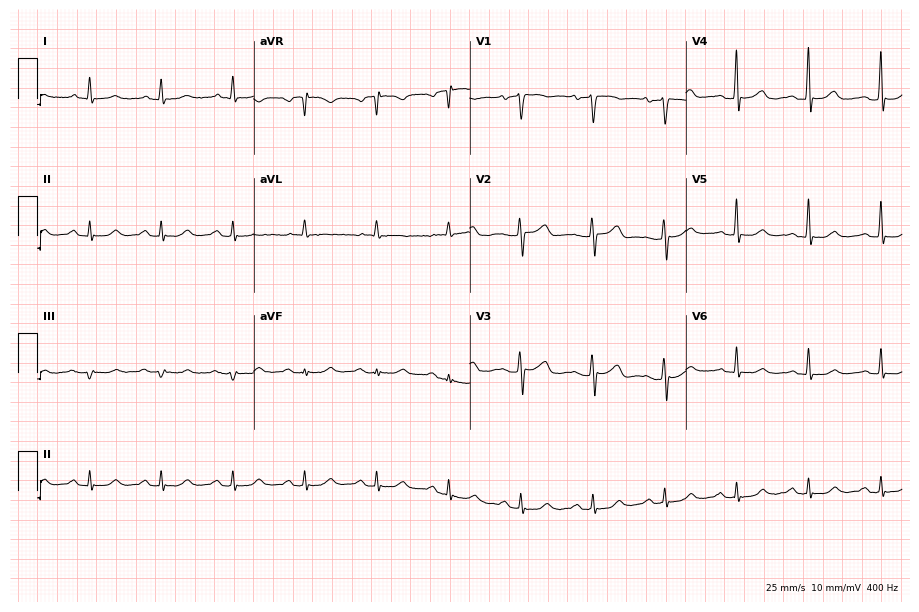
Electrocardiogram (8.8-second recording at 400 Hz), a 74-year-old male patient. Overall reading on record: normal ECG.